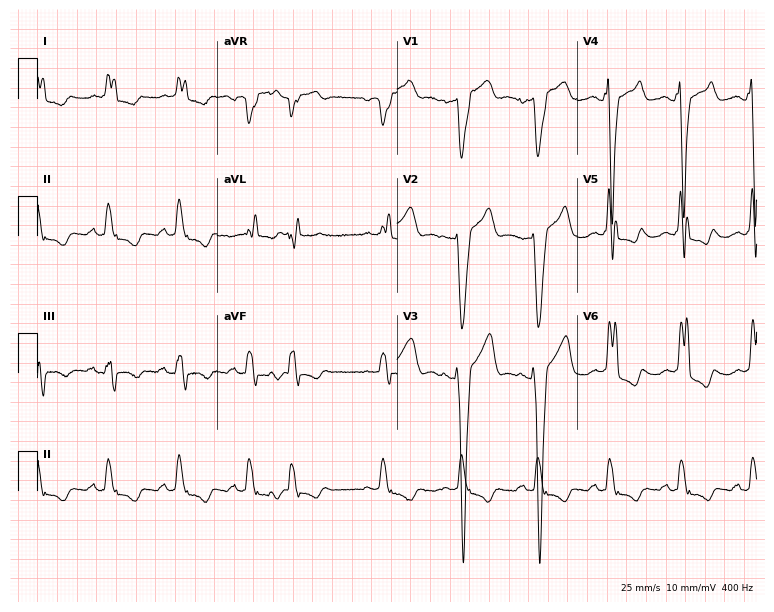
12-lead ECG (7.3-second recording at 400 Hz) from a male patient, 83 years old. Findings include left bundle branch block.